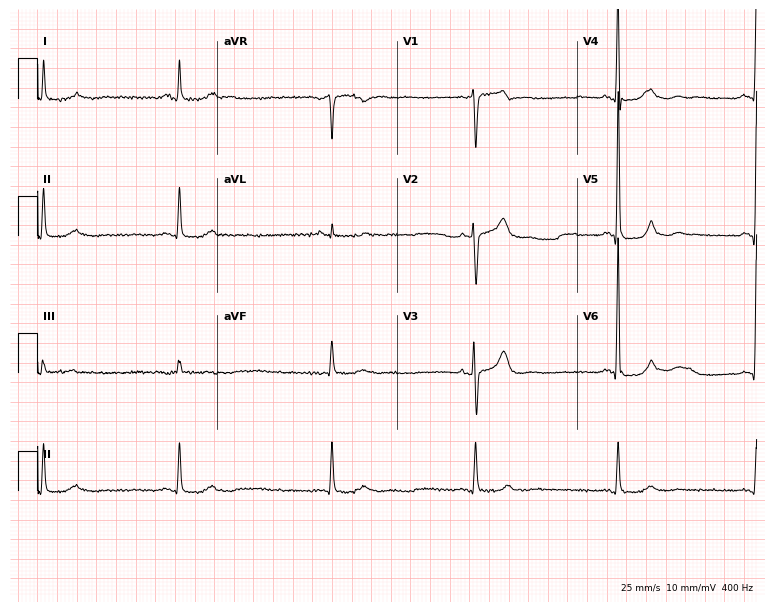
Resting 12-lead electrocardiogram. Patient: a male, 66 years old. None of these six findings is recorded: first-degree AV block, right bundle branch block, left bundle branch block, sinus bradycardia, atrial fibrillation, sinus tachycardia. Only these six findings were labelled.